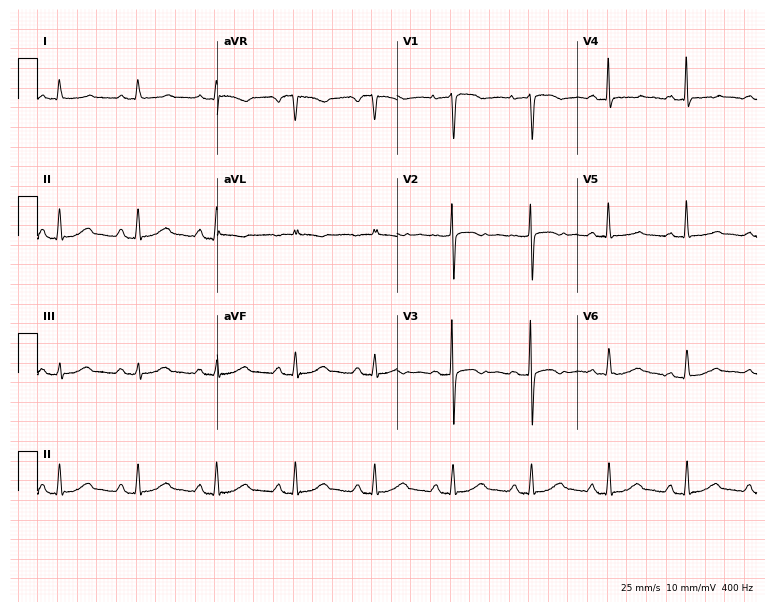
Electrocardiogram (7.3-second recording at 400 Hz), a female, 76 years old. Of the six screened findings (first-degree AV block, right bundle branch block, left bundle branch block, sinus bradycardia, atrial fibrillation, sinus tachycardia), none is recorded.